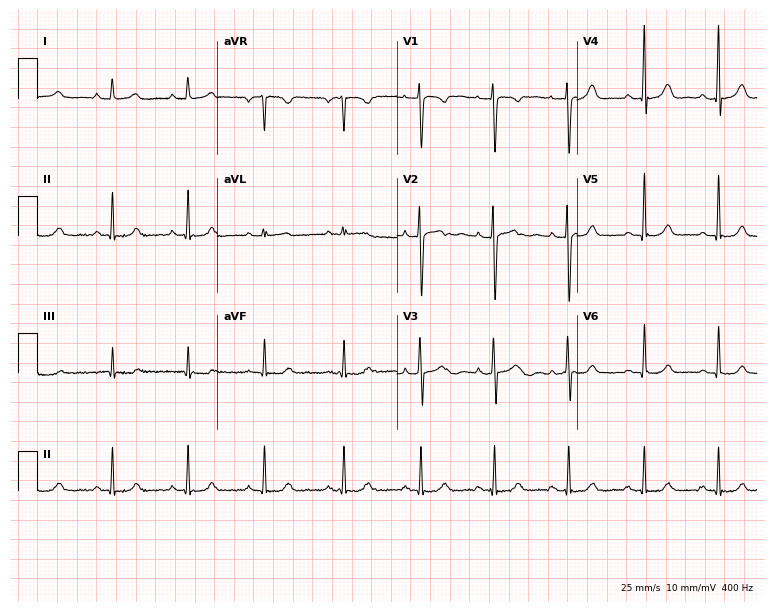
Electrocardiogram (7.3-second recording at 400 Hz), a female, 30 years old. Of the six screened findings (first-degree AV block, right bundle branch block (RBBB), left bundle branch block (LBBB), sinus bradycardia, atrial fibrillation (AF), sinus tachycardia), none is recorded.